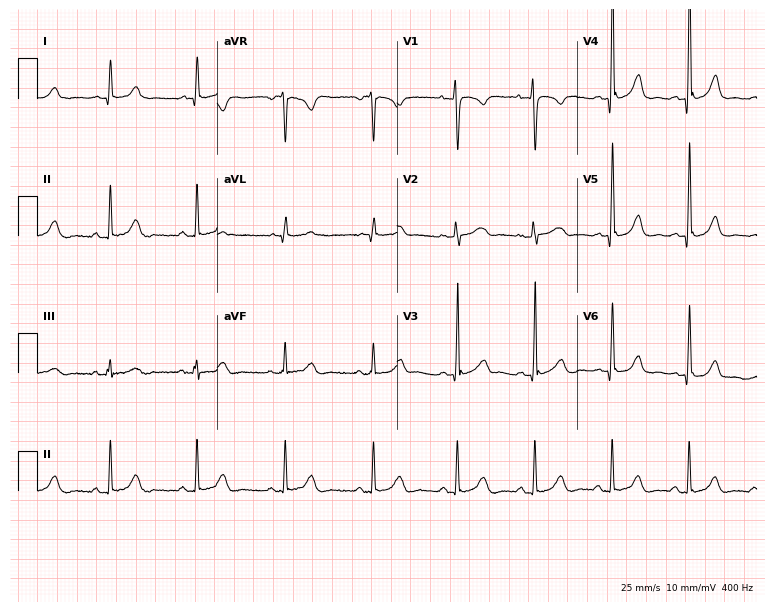
Resting 12-lead electrocardiogram. Patient: a 40-year-old woman. Read as a normal ECG.